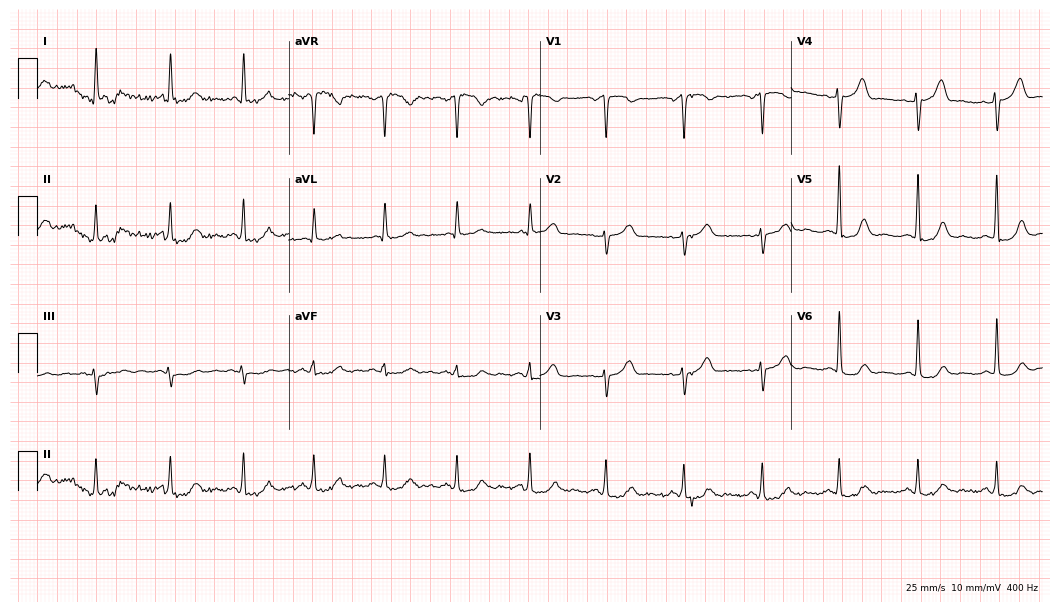
12-lead ECG from a woman, 58 years old (10.2-second recording at 400 Hz). Recorded interpretation: within normal limits.